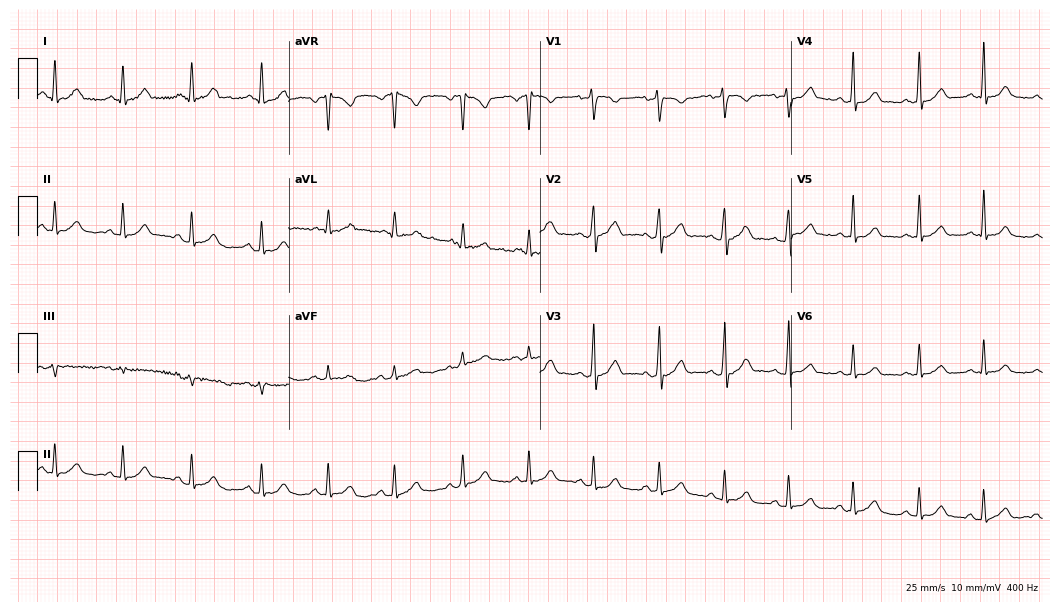
ECG — a 28-year-old woman. Labelled as a normal ECG.